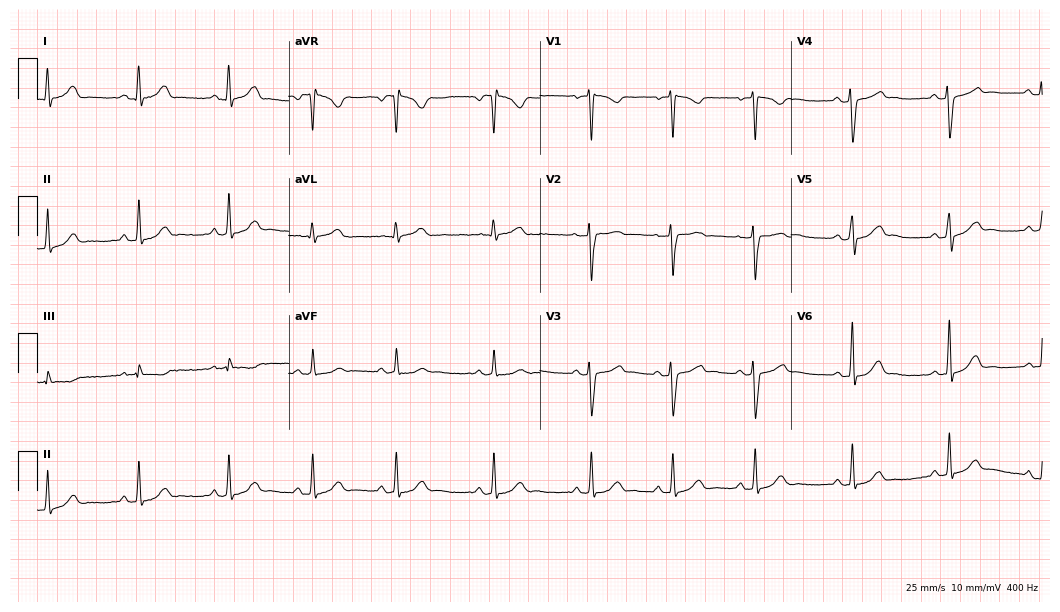
12-lead ECG from a woman, 29 years old. Screened for six findings — first-degree AV block, right bundle branch block, left bundle branch block, sinus bradycardia, atrial fibrillation, sinus tachycardia — none is recorded. Other findings, if any, are not listed.